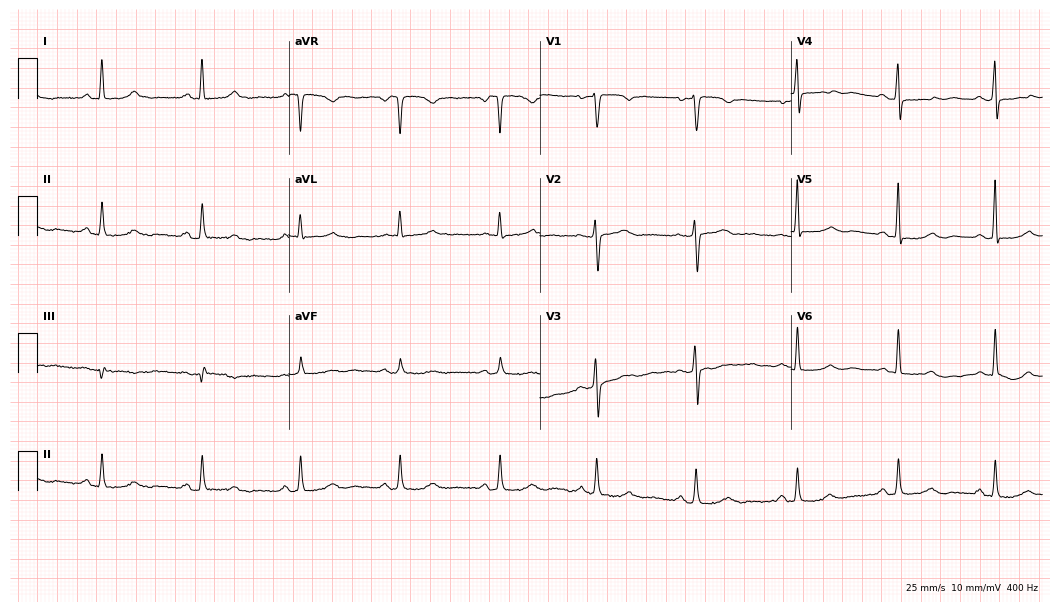
Electrocardiogram, a 60-year-old woman. Of the six screened findings (first-degree AV block, right bundle branch block (RBBB), left bundle branch block (LBBB), sinus bradycardia, atrial fibrillation (AF), sinus tachycardia), none is recorded.